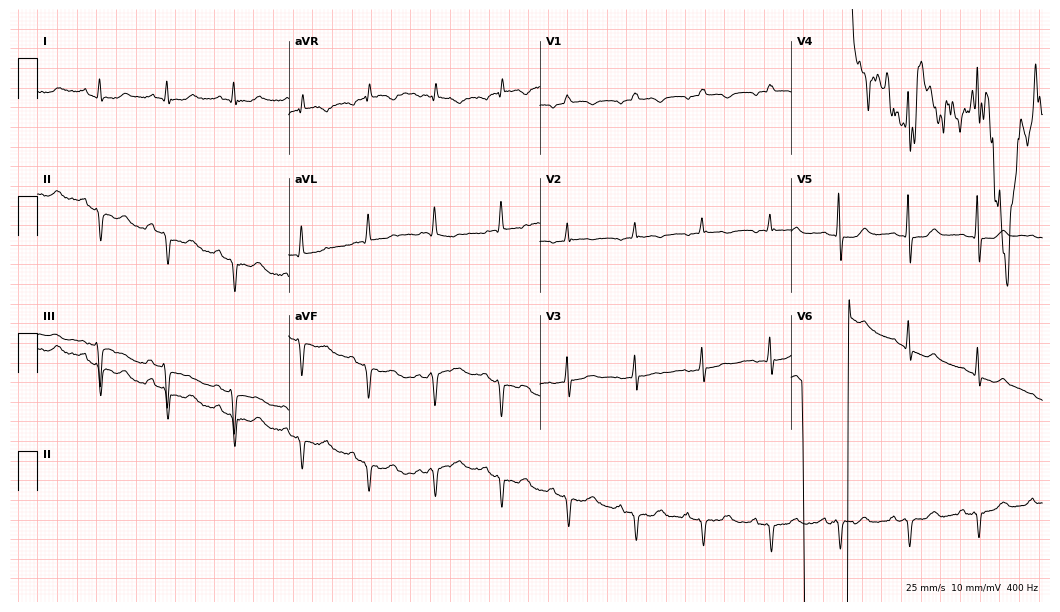
Electrocardiogram, a female patient, 68 years old. Of the six screened findings (first-degree AV block, right bundle branch block, left bundle branch block, sinus bradycardia, atrial fibrillation, sinus tachycardia), none is recorded.